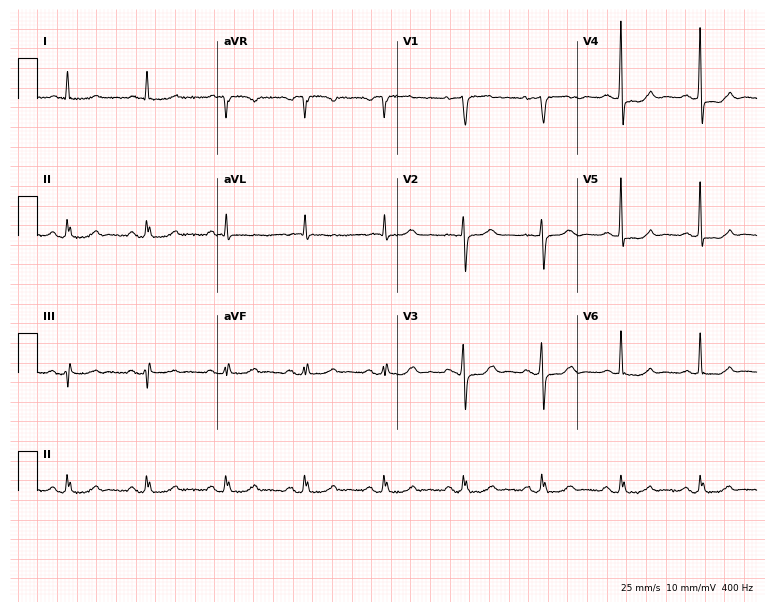
ECG — a 77-year-old female patient. Screened for six findings — first-degree AV block, right bundle branch block, left bundle branch block, sinus bradycardia, atrial fibrillation, sinus tachycardia — none is recorded.